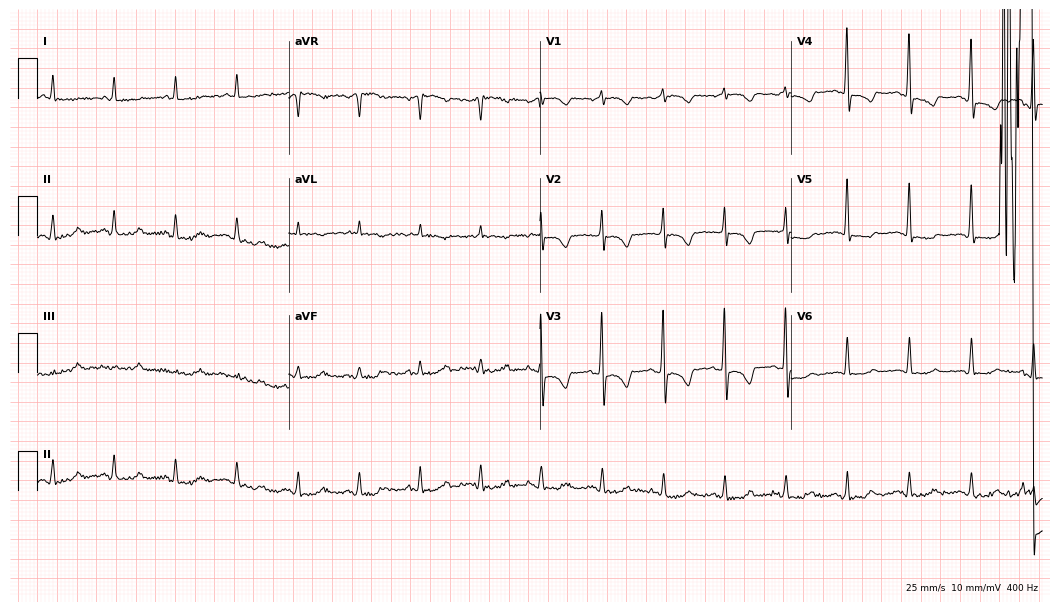
12-lead ECG (10.2-second recording at 400 Hz) from a woman, 69 years old. Screened for six findings — first-degree AV block, right bundle branch block, left bundle branch block, sinus bradycardia, atrial fibrillation, sinus tachycardia — none is recorded.